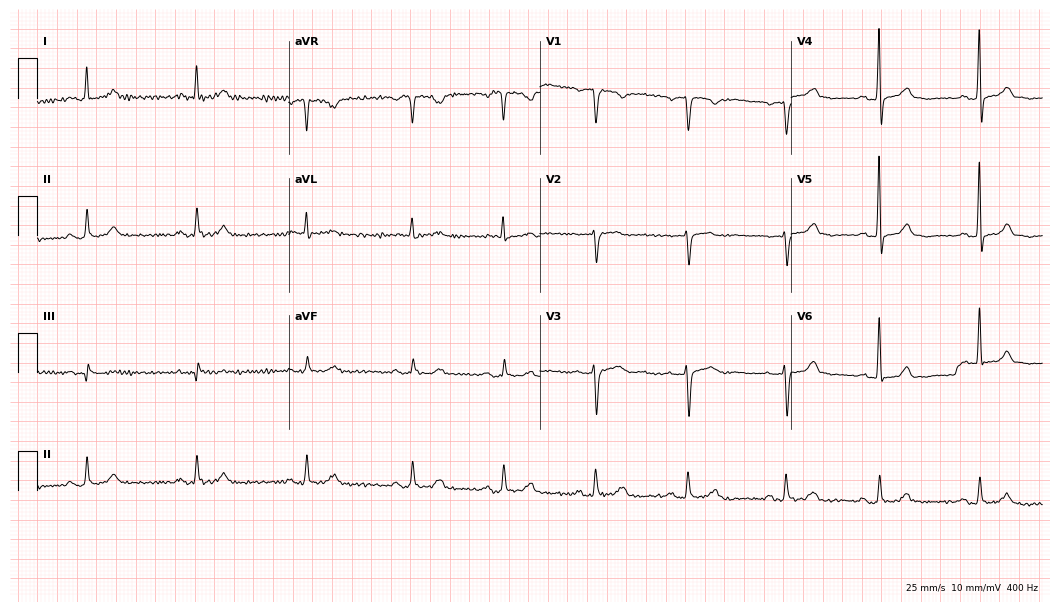
Resting 12-lead electrocardiogram. Patient: a man, 66 years old. Read as a normal ECG.